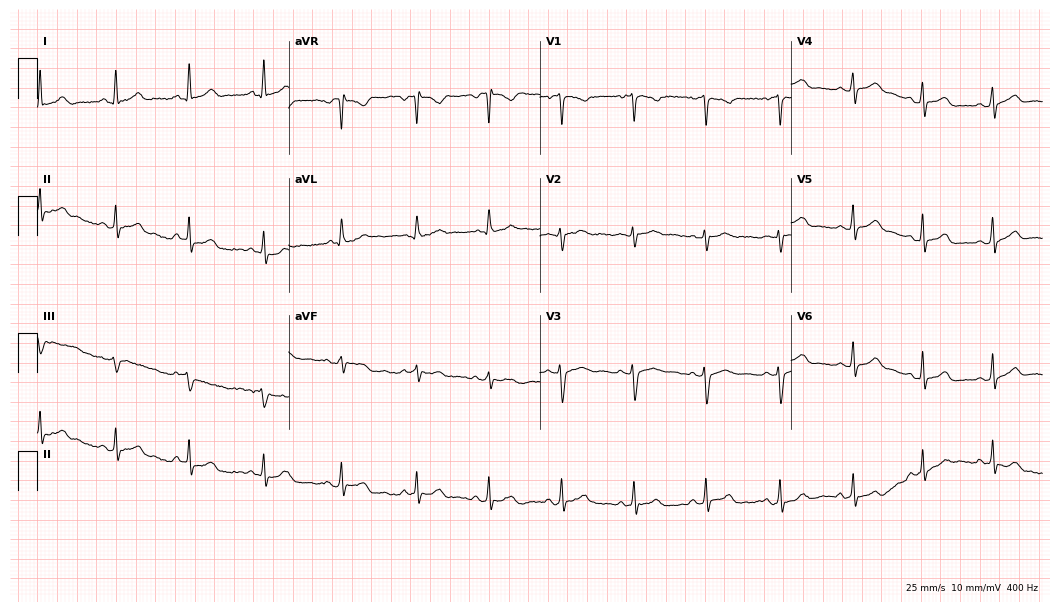
ECG (10.2-second recording at 400 Hz) — a 23-year-old woman. Labelled as a normal ECG.